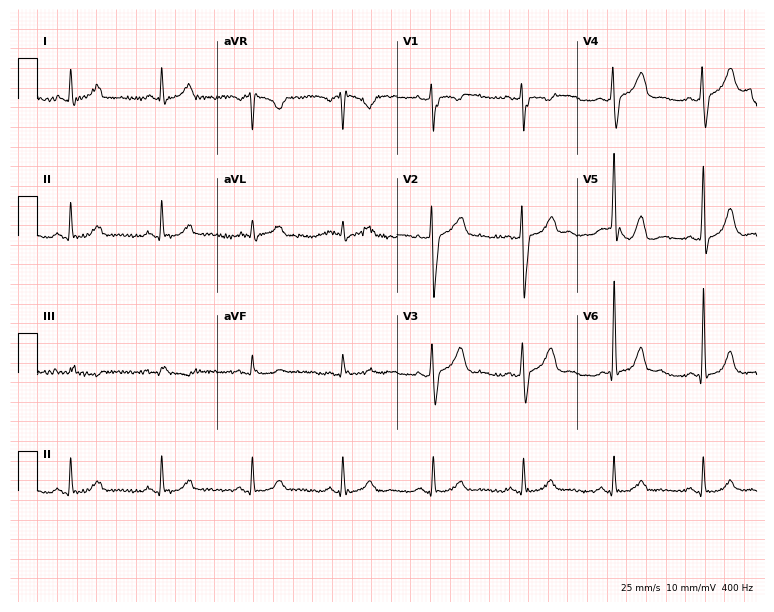
Resting 12-lead electrocardiogram (7.3-second recording at 400 Hz). Patient: a male, 69 years old. None of these six findings is recorded: first-degree AV block, right bundle branch block (RBBB), left bundle branch block (LBBB), sinus bradycardia, atrial fibrillation (AF), sinus tachycardia. Other findings, if any, are not listed.